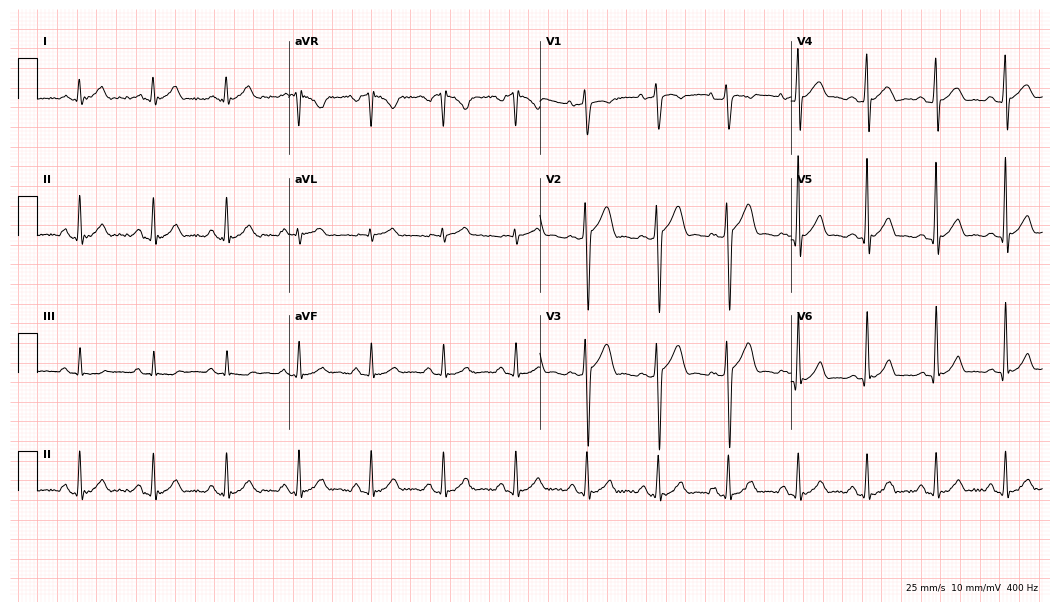
Electrocardiogram, a man, 35 years old. Overall reading on record: normal ECG.